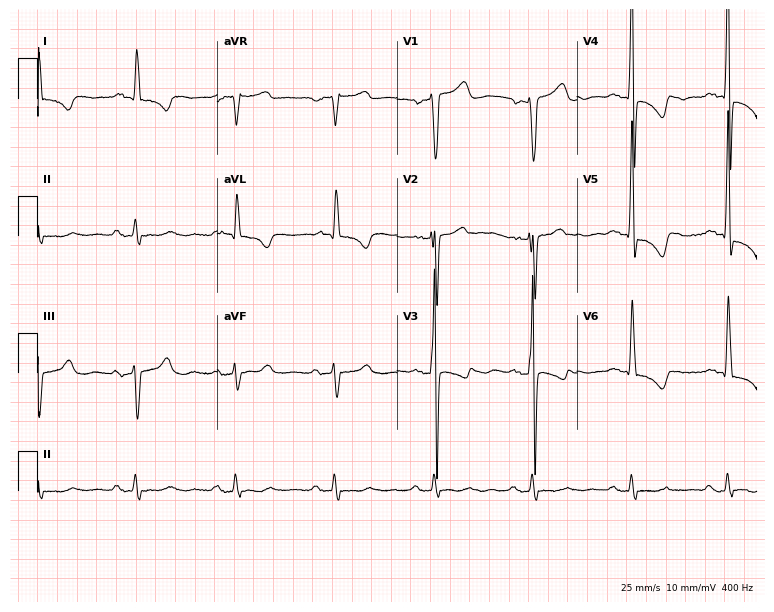
Standard 12-lead ECG recorded from an 84-year-old man (7.3-second recording at 400 Hz). None of these six findings is recorded: first-degree AV block, right bundle branch block, left bundle branch block, sinus bradycardia, atrial fibrillation, sinus tachycardia.